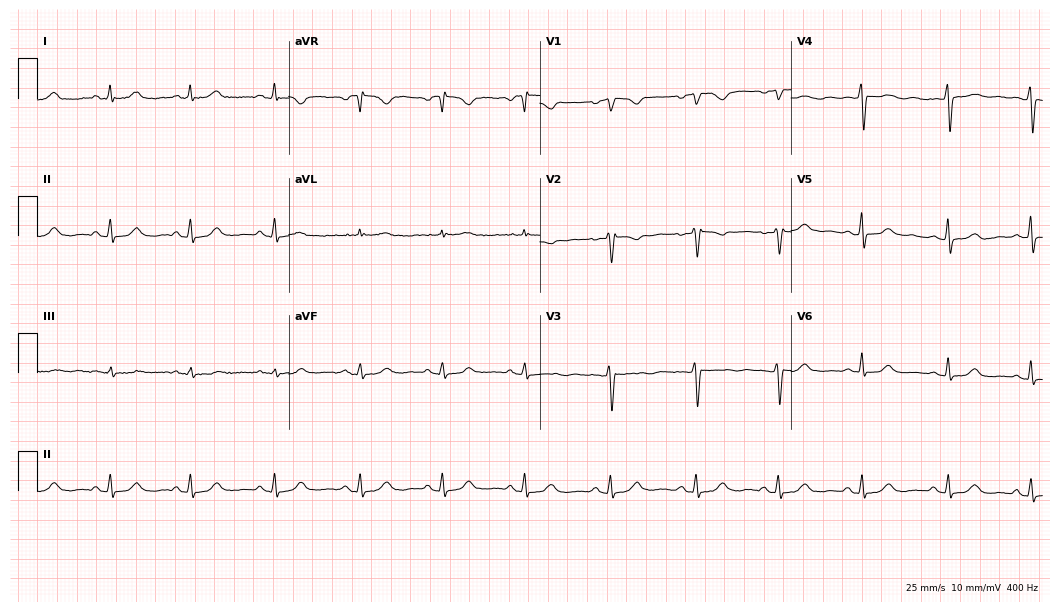
12-lead ECG from a female patient, 56 years old (10.2-second recording at 400 Hz). Recorded interpretation: within normal limits.